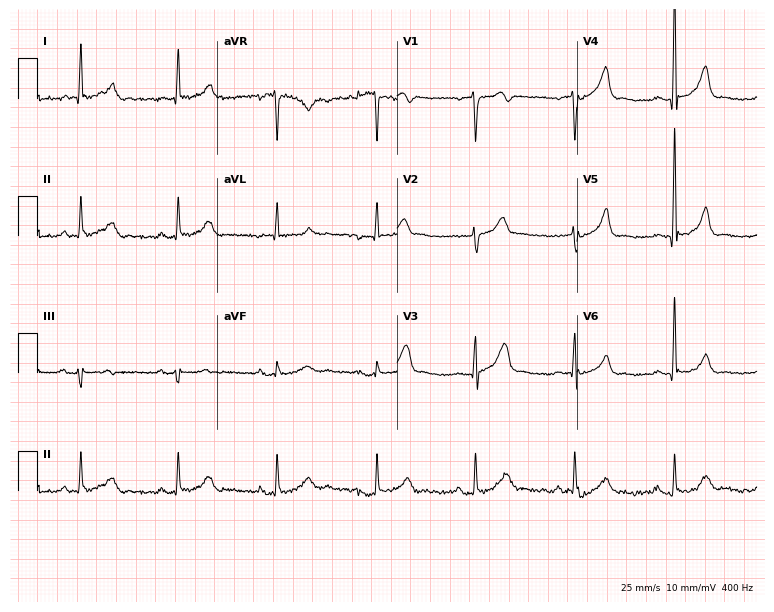
12-lead ECG from a 75-year-old male patient. Recorded interpretation: within normal limits.